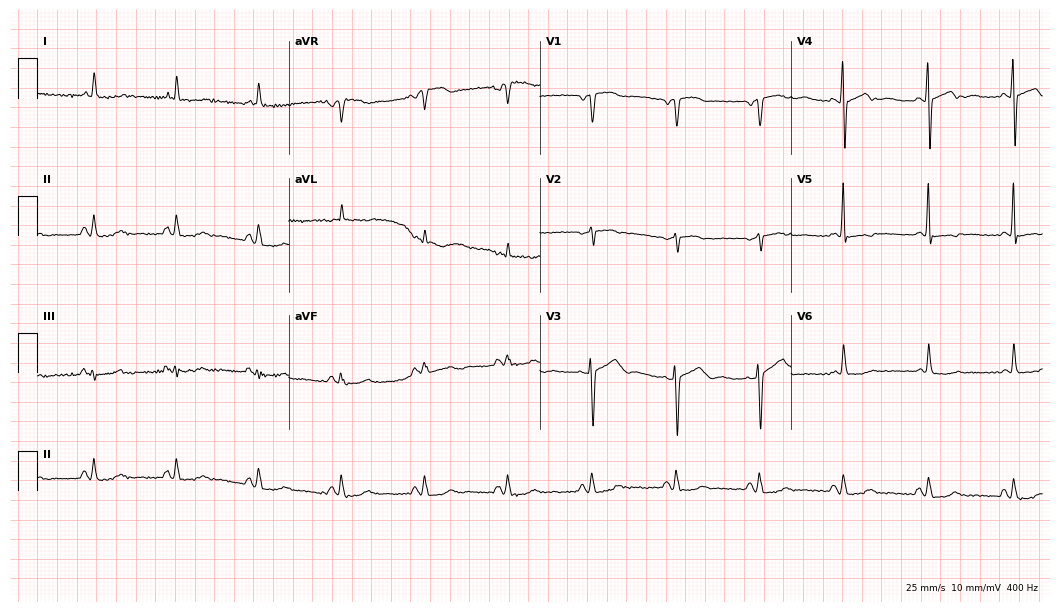
Electrocardiogram (10.2-second recording at 400 Hz), a 75-year-old female patient. Of the six screened findings (first-degree AV block, right bundle branch block (RBBB), left bundle branch block (LBBB), sinus bradycardia, atrial fibrillation (AF), sinus tachycardia), none is recorded. Only these six findings were labelled.